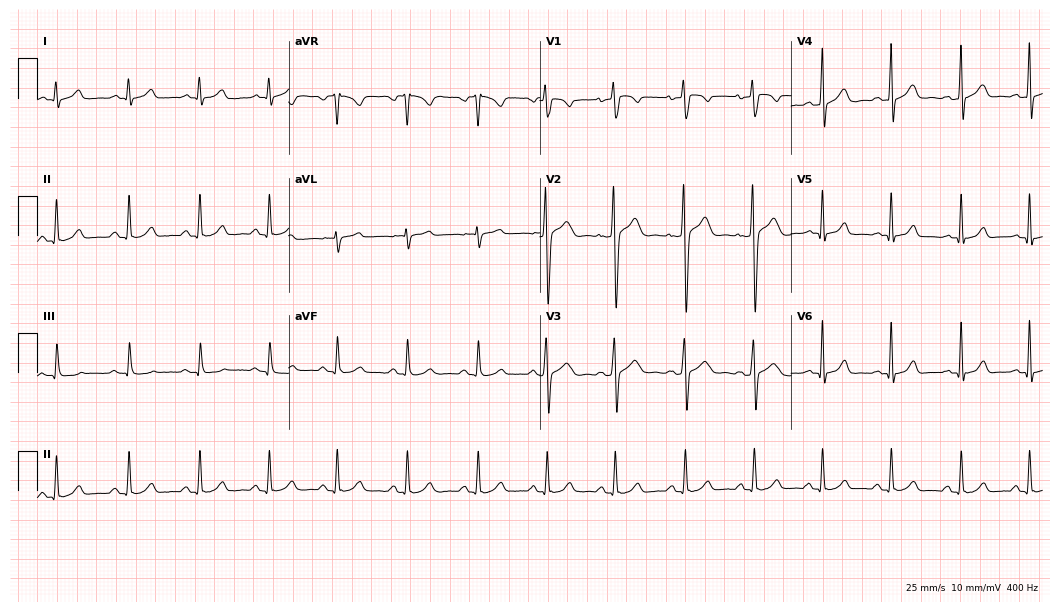
Resting 12-lead electrocardiogram. Patient: a male, 57 years old. Read as a normal ECG.